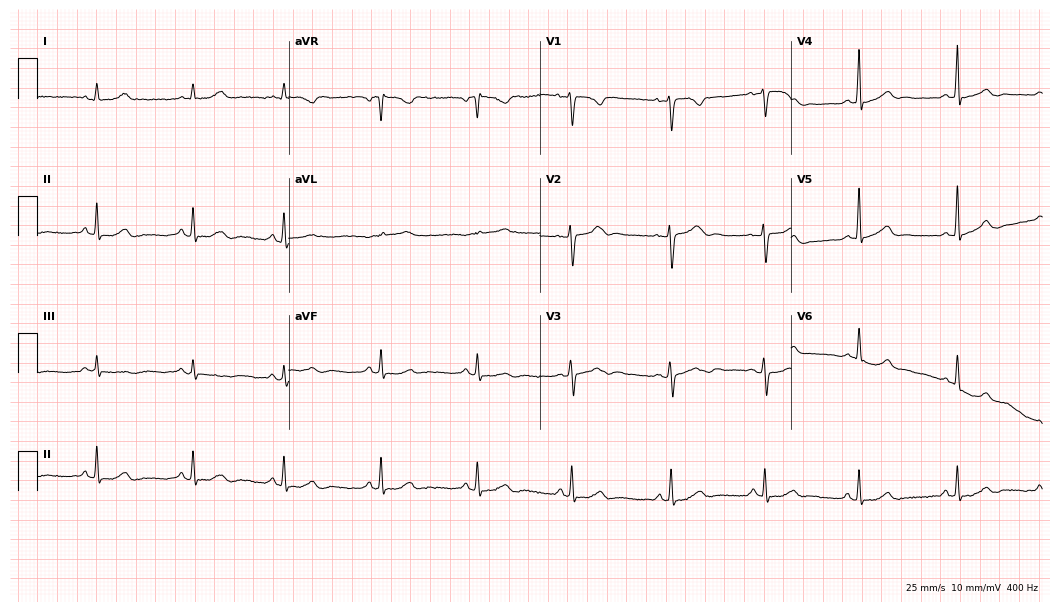
12-lead ECG from a woman, 33 years old. Labelled as a normal ECG.